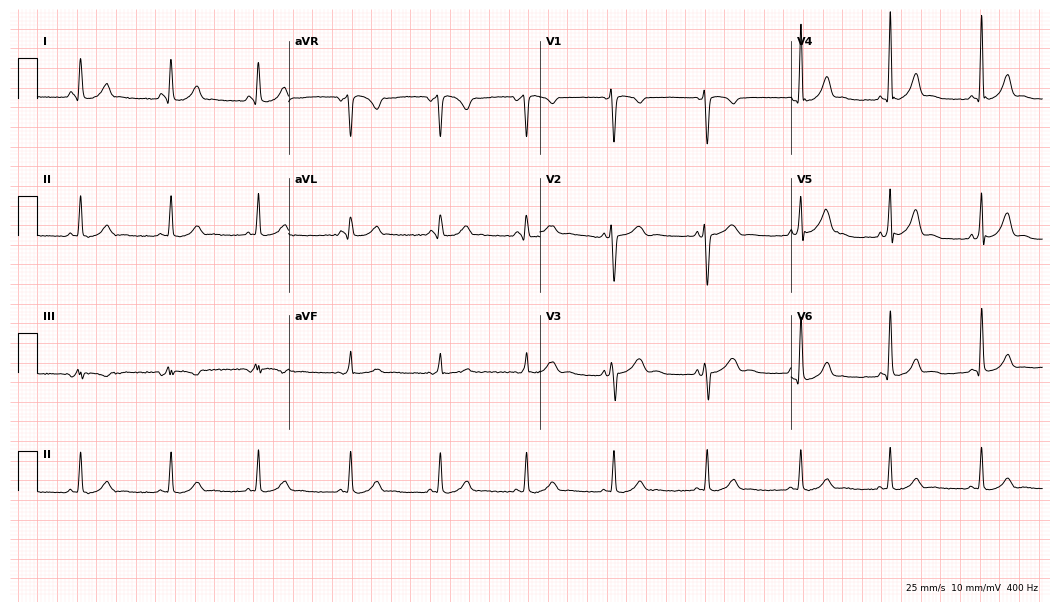
12-lead ECG from a woman, 35 years old. No first-degree AV block, right bundle branch block (RBBB), left bundle branch block (LBBB), sinus bradycardia, atrial fibrillation (AF) or sinus tachycardia recorded for this tracing. Findings outside these six are not listed.